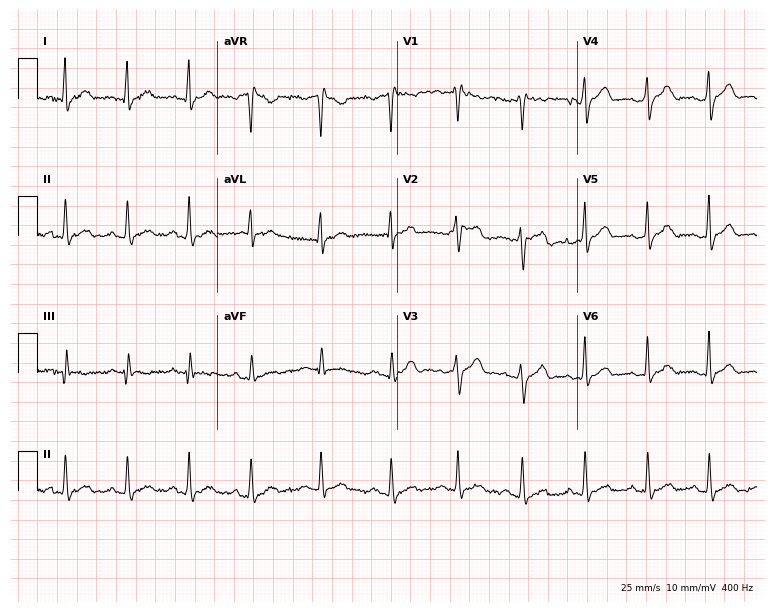
12-lead ECG from a 22-year-old male patient. No first-degree AV block, right bundle branch block (RBBB), left bundle branch block (LBBB), sinus bradycardia, atrial fibrillation (AF) or sinus tachycardia recorded for this tracing. Other findings, if any, are not listed.